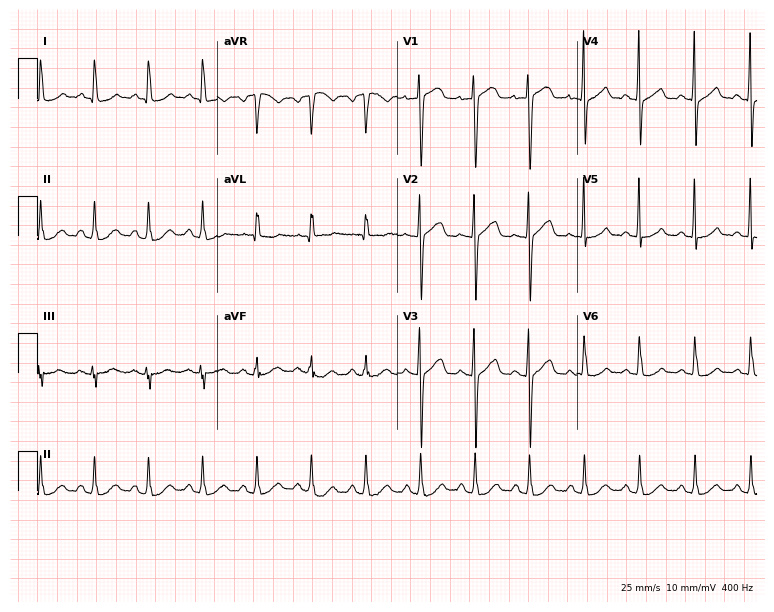
12-lead ECG (7.3-second recording at 400 Hz) from a woman, 75 years old. Findings include sinus tachycardia (a sinus rate of 100 beats per minute or more).